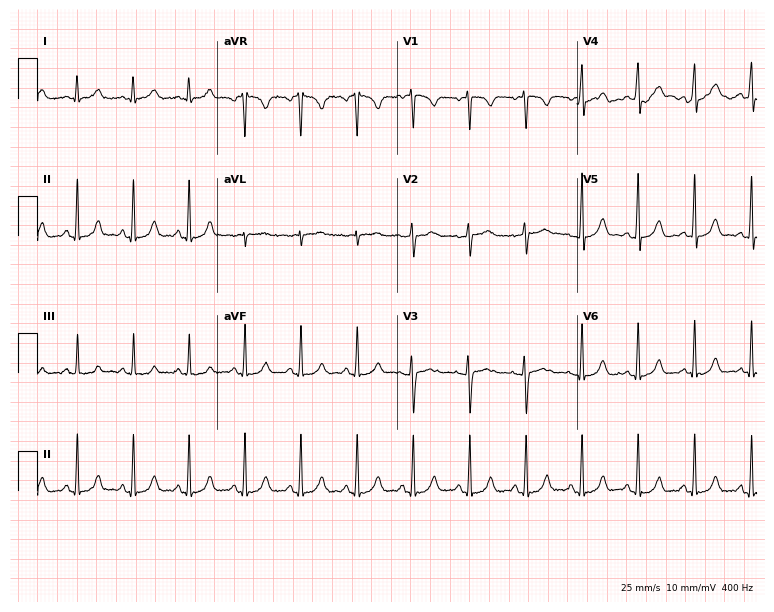
Resting 12-lead electrocardiogram (7.3-second recording at 400 Hz). Patient: a woman, 41 years old. The tracing shows sinus tachycardia (a sinus rate of 100 beats per minute or more).